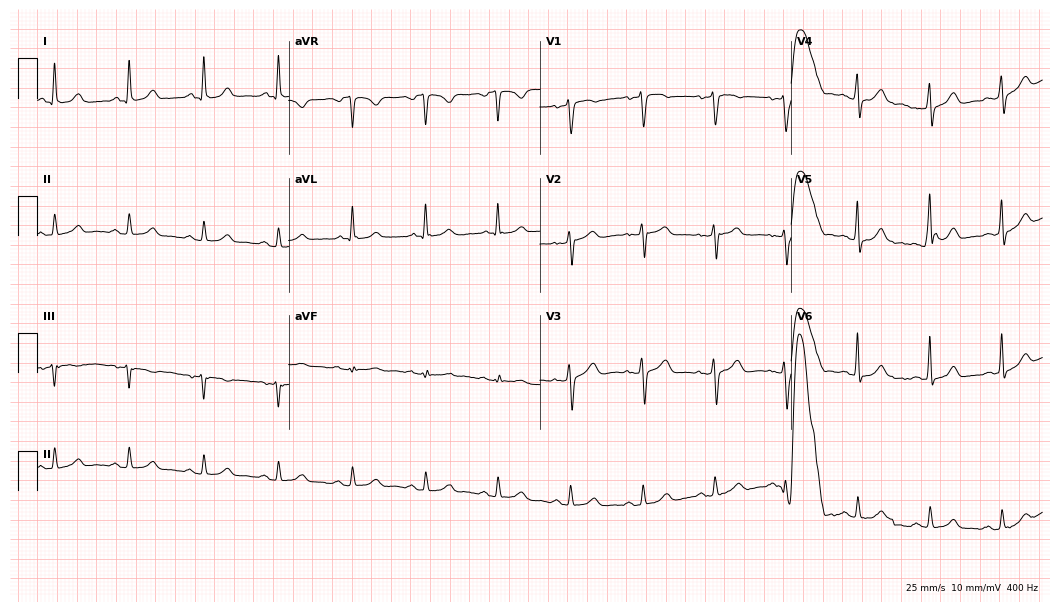
Resting 12-lead electrocardiogram. Patient: a 62-year-old female. Read as a normal ECG.